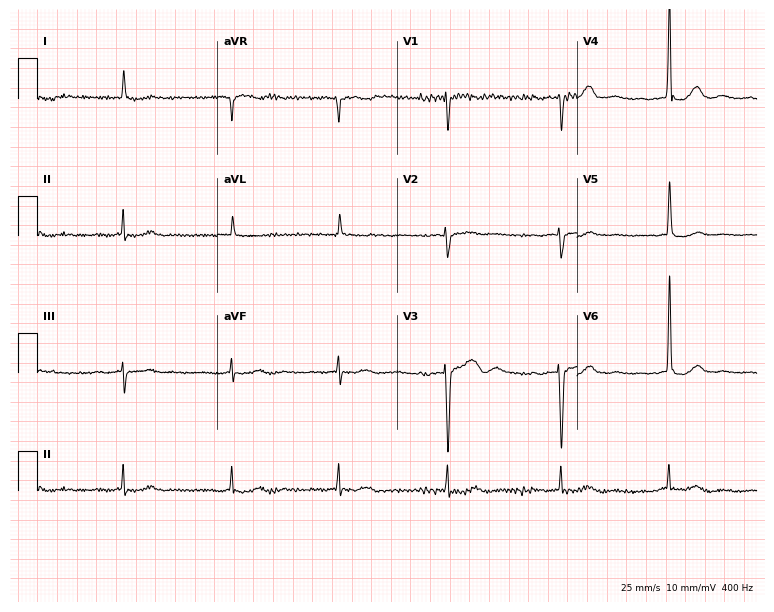
ECG — an 80-year-old female. Screened for six findings — first-degree AV block, right bundle branch block, left bundle branch block, sinus bradycardia, atrial fibrillation, sinus tachycardia — none is recorded.